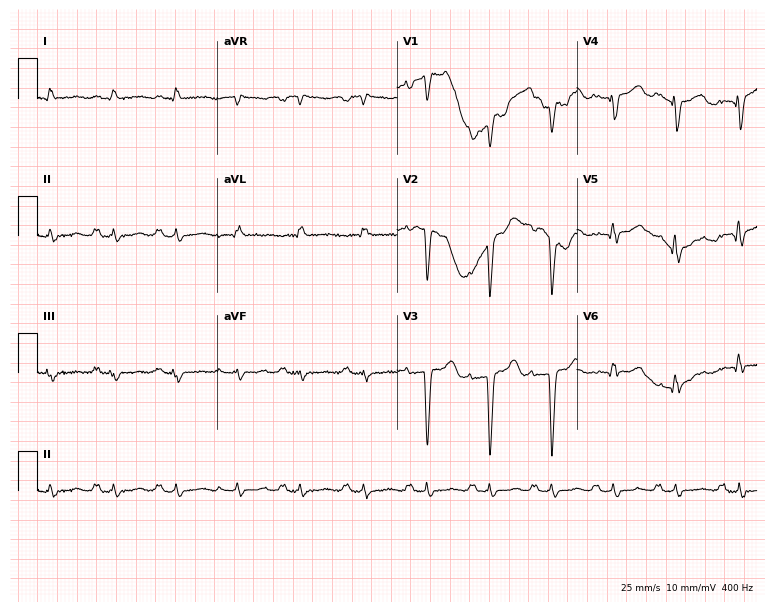
12-lead ECG from a male, 67 years old (7.3-second recording at 400 Hz). No first-degree AV block, right bundle branch block (RBBB), left bundle branch block (LBBB), sinus bradycardia, atrial fibrillation (AF) or sinus tachycardia recorded for this tracing. Other findings, if any, are not listed.